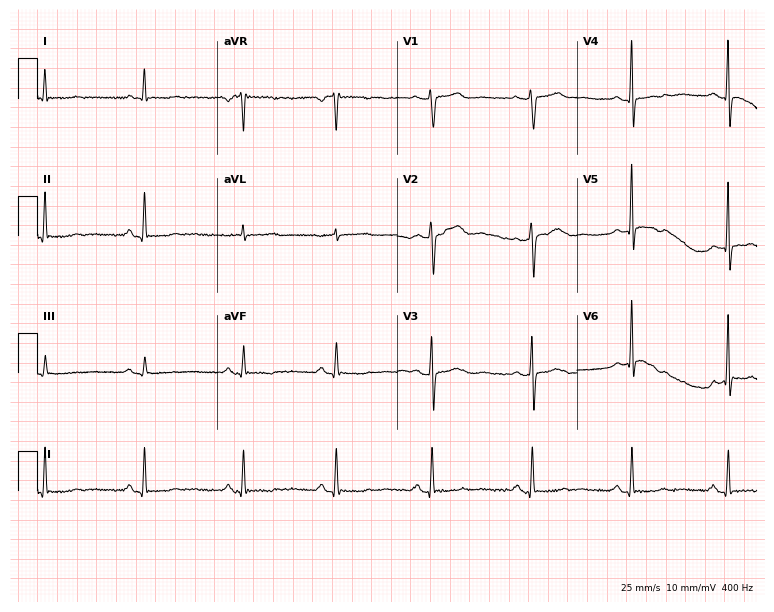
ECG (7.3-second recording at 400 Hz) — a 52-year-old female. Screened for six findings — first-degree AV block, right bundle branch block, left bundle branch block, sinus bradycardia, atrial fibrillation, sinus tachycardia — none is recorded. Other findings, if any, are not listed.